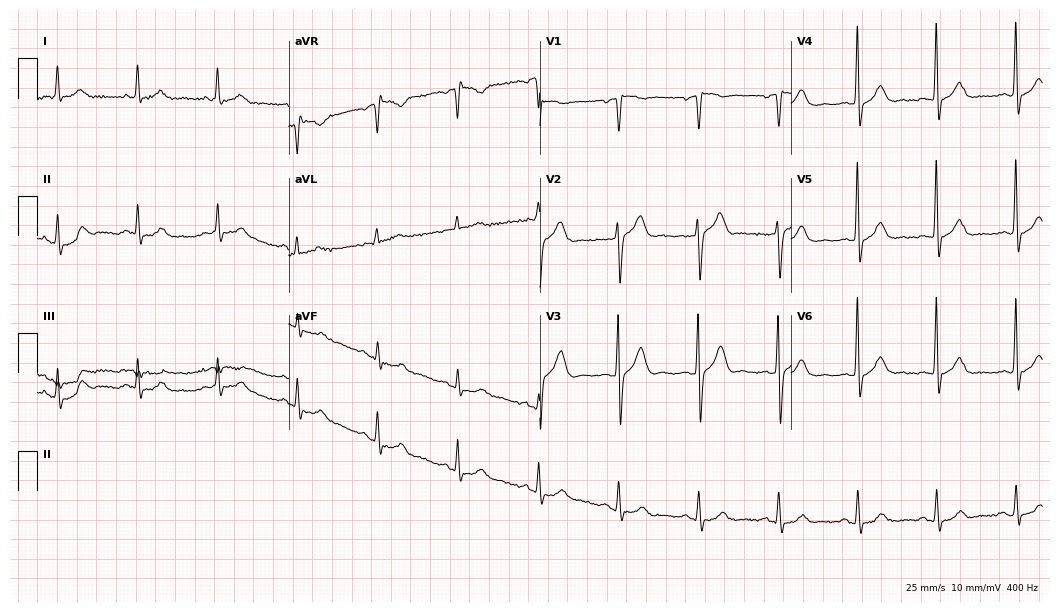
12-lead ECG (10.2-second recording at 400 Hz) from a 74-year-old male patient. Screened for six findings — first-degree AV block, right bundle branch block, left bundle branch block, sinus bradycardia, atrial fibrillation, sinus tachycardia — none is recorded. Only these six findings were labelled.